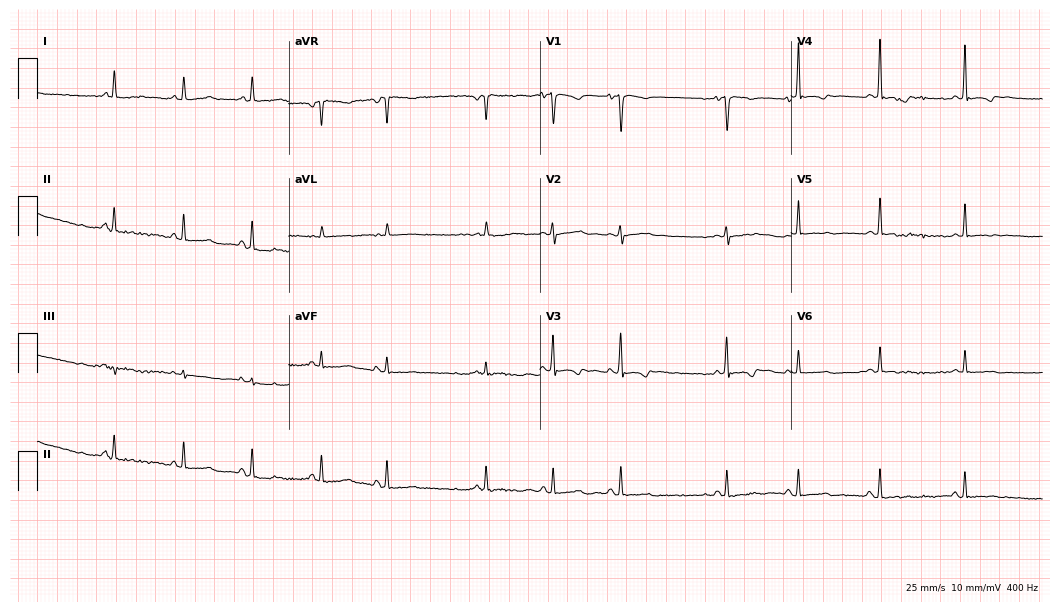
Electrocardiogram (10.2-second recording at 400 Hz), a 26-year-old female. Of the six screened findings (first-degree AV block, right bundle branch block, left bundle branch block, sinus bradycardia, atrial fibrillation, sinus tachycardia), none is recorded.